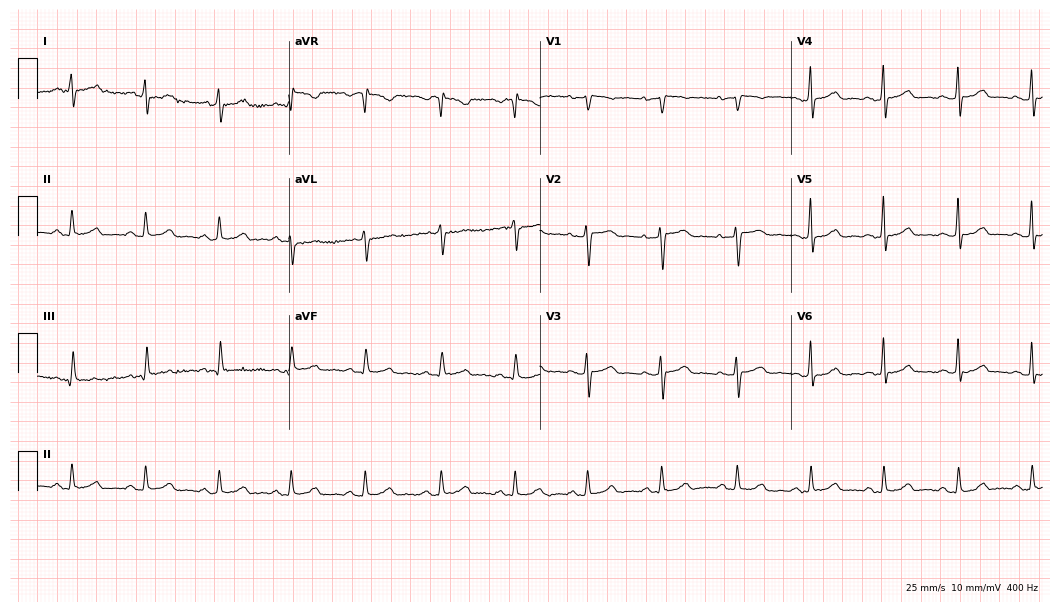
12-lead ECG from a woman, 38 years old (10.2-second recording at 400 Hz). Recorded interpretation: within normal limits.